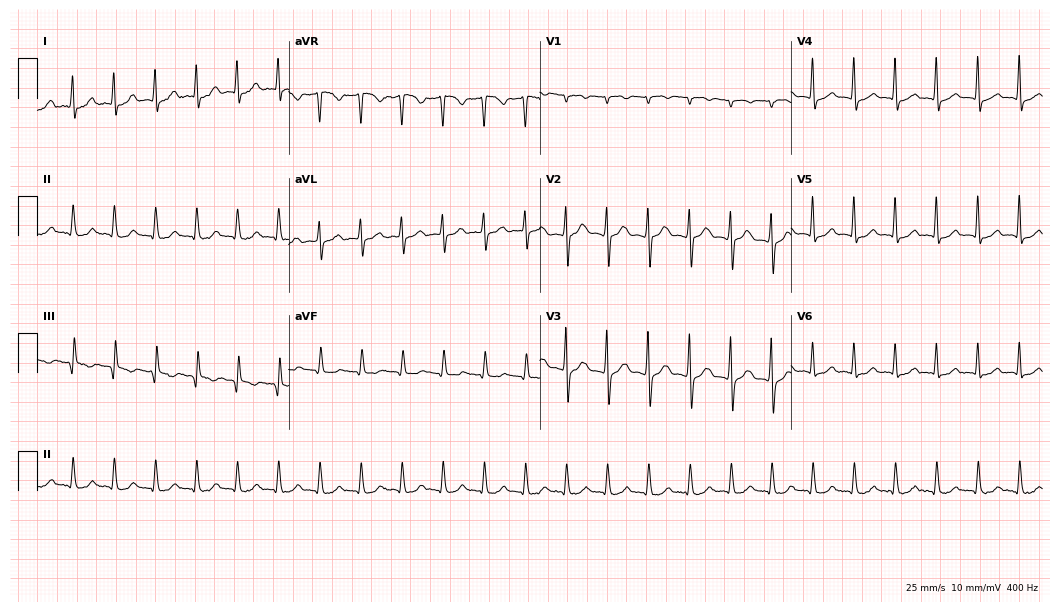
ECG (10.2-second recording at 400 Hz) — a 77-year-old woman. Screened for six findings — first-degree AV block, right bundle branch block, left bundle branch block, sinus bradycardia, atrial fibrillation, sinus tachycardia — none is recorded.